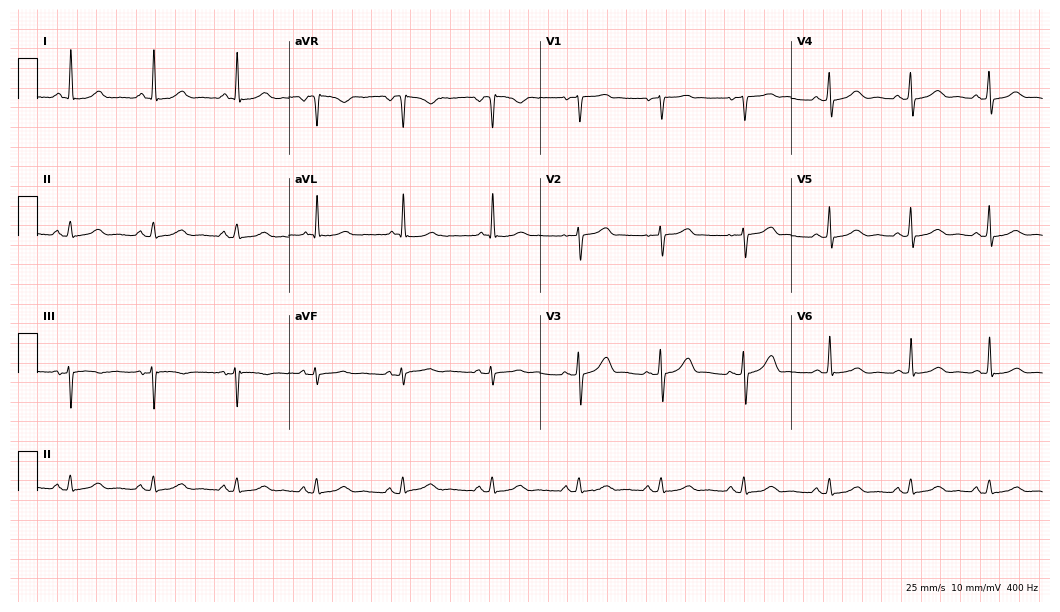
Standard 12-lead ECG recorded from a 62-year-old woman. None of these six findings is recorded: first-degree AV block, right bundle branch block (RBBB), left bundle branch block (LBBB), sinus bradycardia, atrial fibrillation (AF), sinus tachycardia. Only these six findings were labelled.